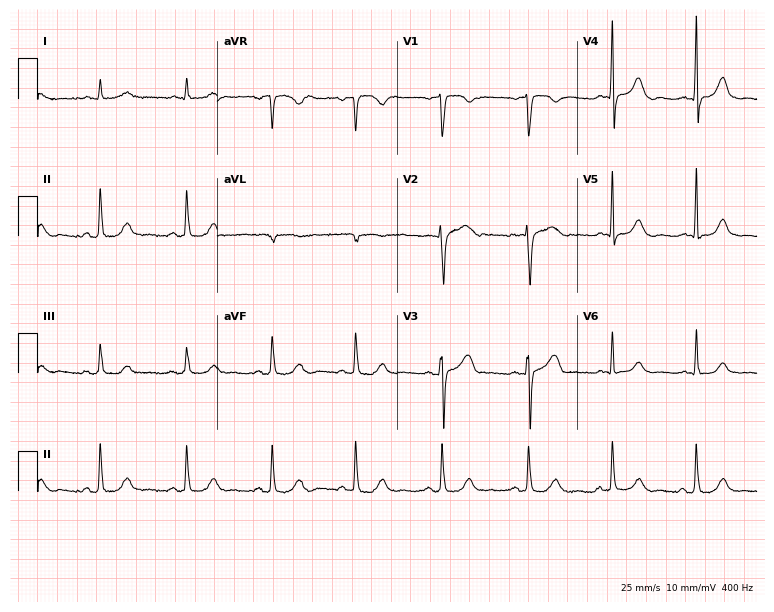
12-lead ECG (7.3-second recording at 400 Hz) from a man, 69 years old. Labelled as a normal ECG.